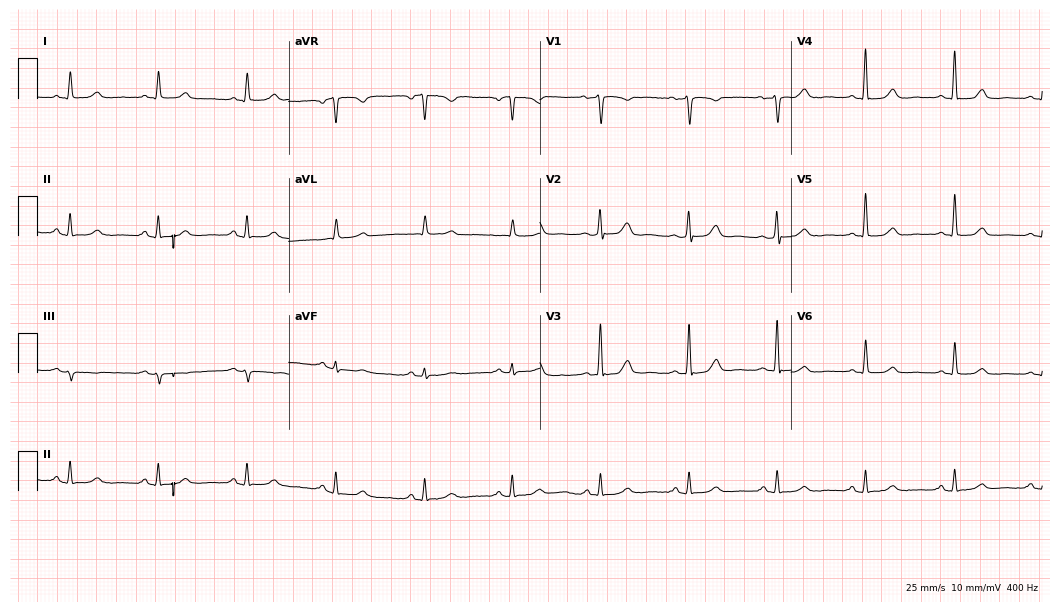
Resting 12-lead electrocardiogram. Patient: a 73-year-old female. Read as a normal ECG.